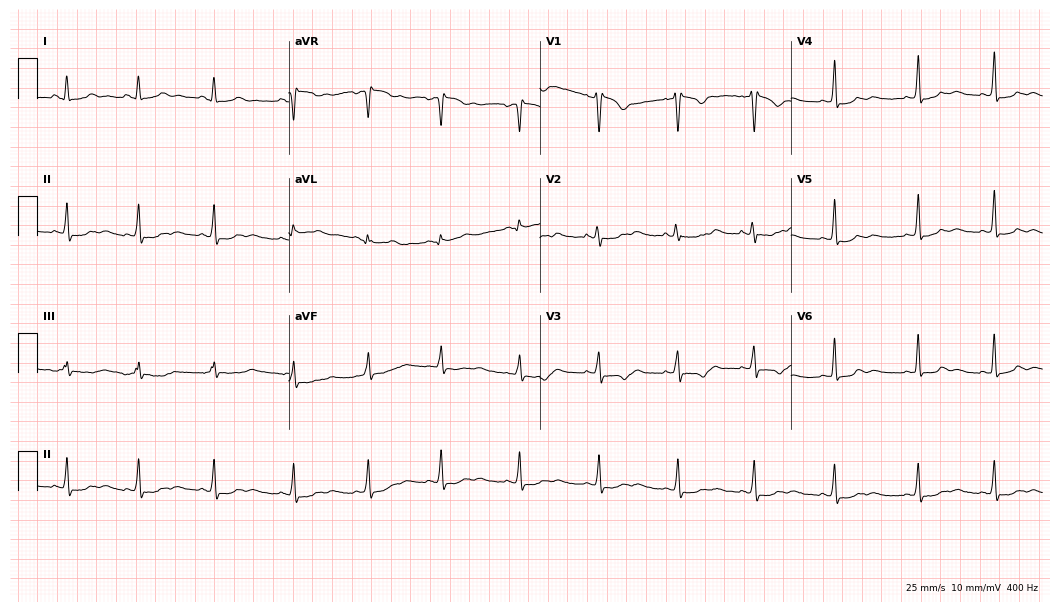
Resting 12-lead electrocardiogram. Patient: a 20-year-old female. None of these six findings is recorded: first-degree AV block, right bundle branch block, left bundle branch block, sinus bradycardia, atrial fibrillation, sinus tachycardia. Only these six findings were labelled.